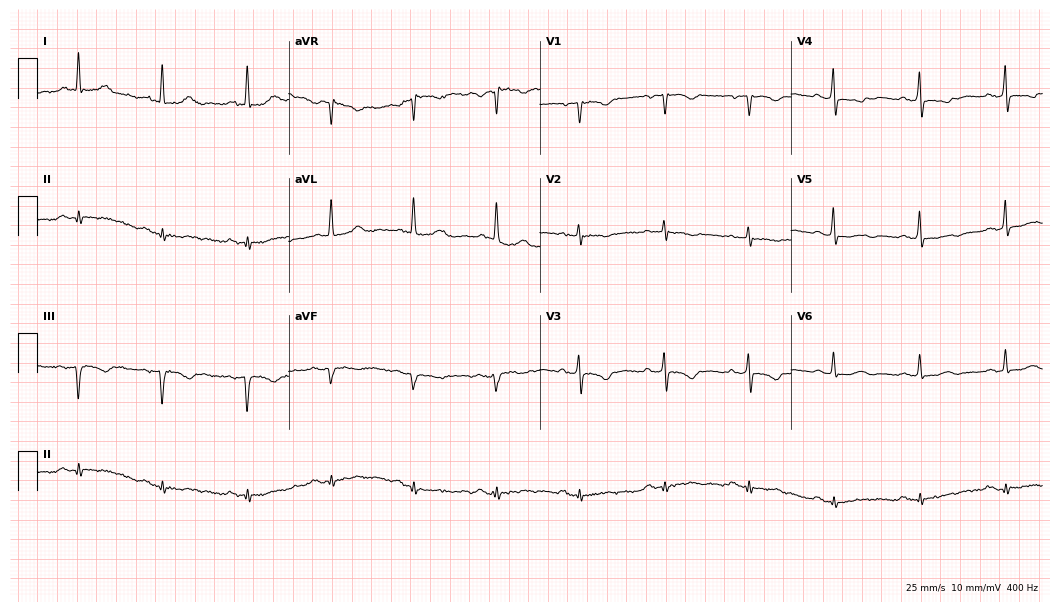
12-lead ECG from a woman, 83 years old. No first-degree AV block, right bundle branch block, left bundle branch block, sinus bradycardia, atrial fibrillation or sinus tachycardia recorded for this tracing.